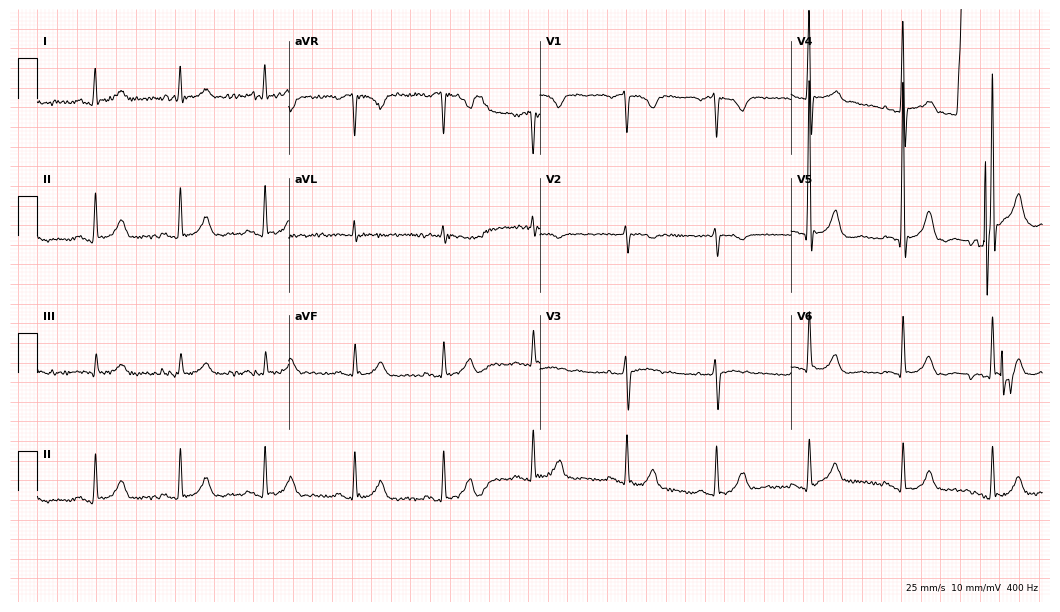
Resting 12-lead electrocardiogram (10.2-second recording at 400 Hz). Patient: a male, 62 years old. Read as a normal ECG.